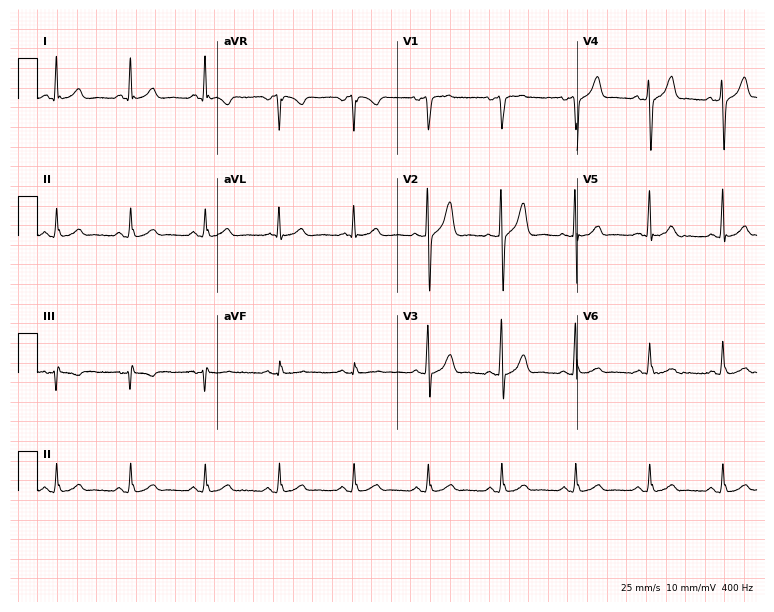
Electrocardiogram, a 72-year-old man. Overall reading on record: normal ECG.